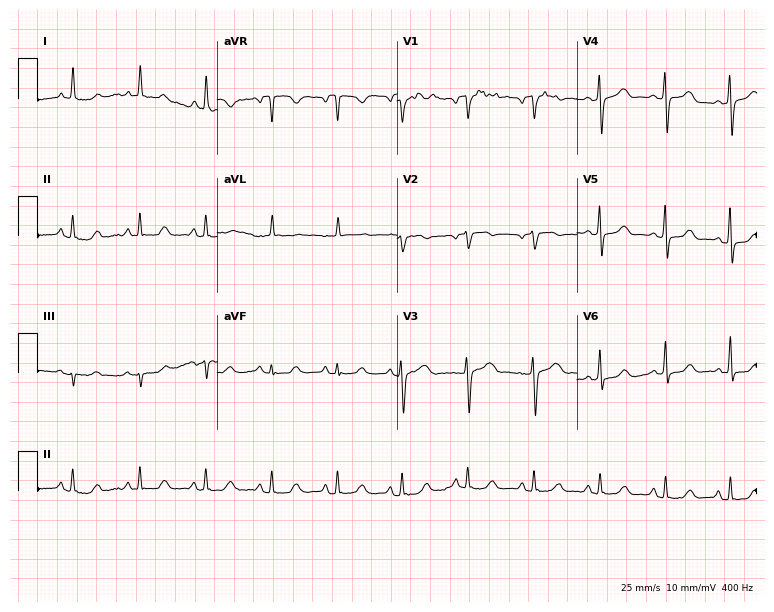
Electrocardiogram (7.3-second recording at 400 Hz), a woman, 62 years old. Of the six screened findings (first-degree AV block, right bundle branch block, left bundle branch block, sinus bradycardia, atrial fibrillation, sinus tachycardia), none is recorded.